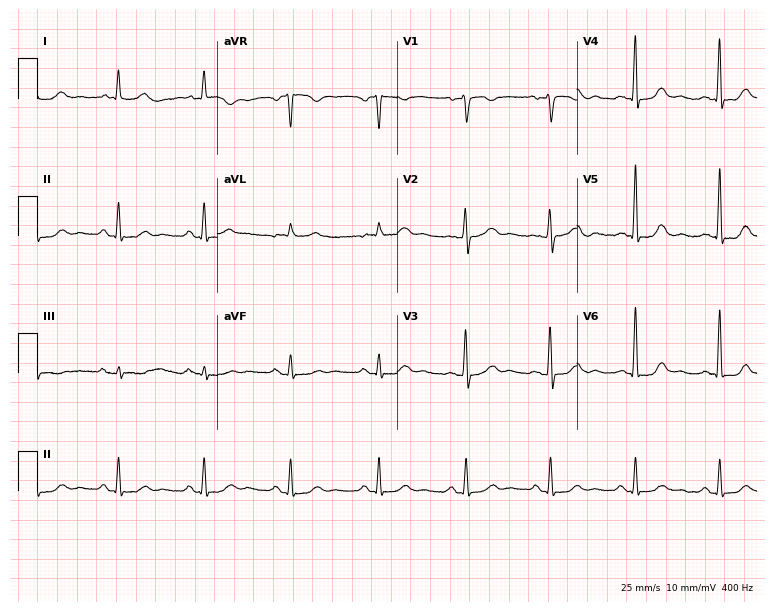
12-lead ECG from a 56-year-old female. Labelled as a normal ECG.